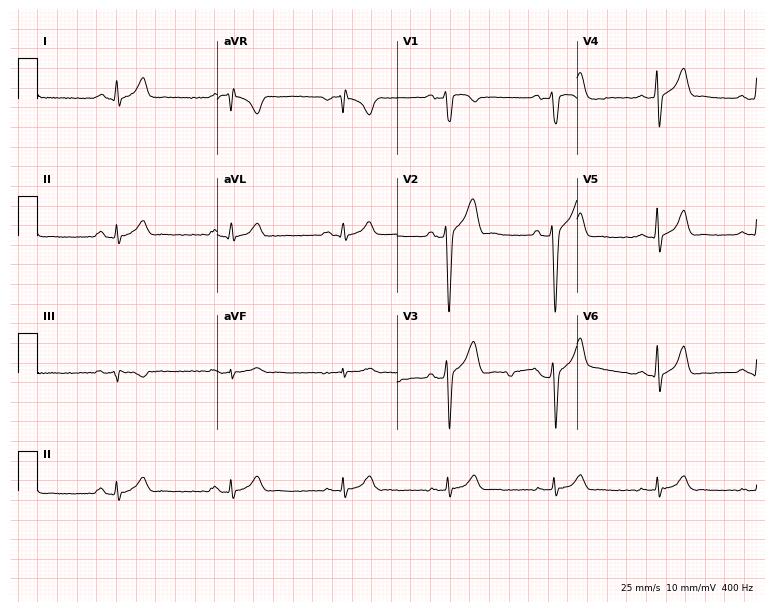
Electrocardiogram, a 31-year-old male patient. Of the six screened findings (first-degree AV block, right bundle branch block, left bundle branch block, sinus bradycardia, atrial fibrillation, sinus tachycardia), none is recorded.